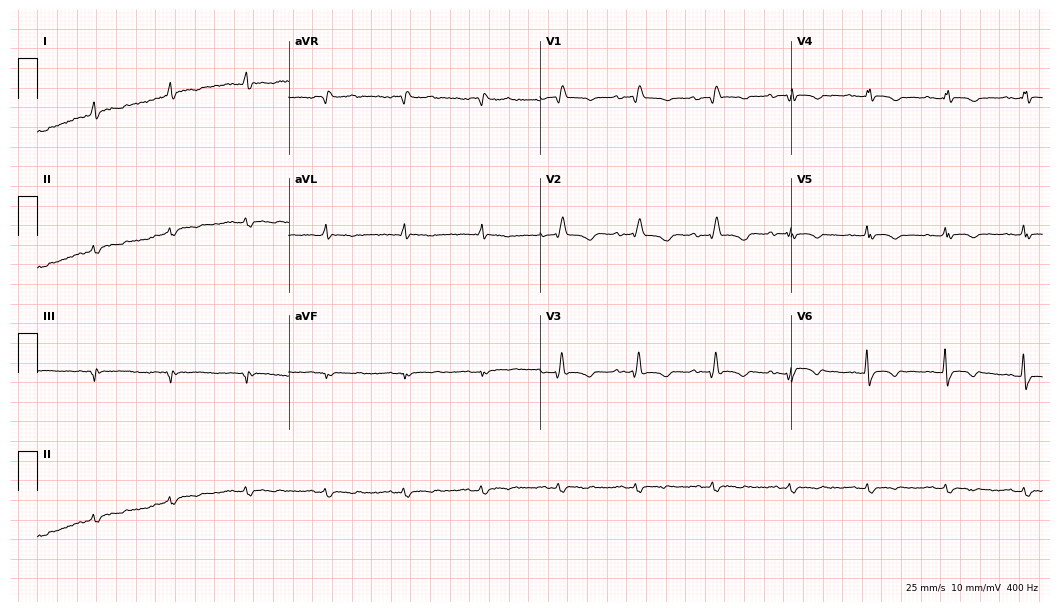
Standard 12-lead ECG recorded from a 40-year-old woman (10.2-second recording at 400 Hz). The tracing shows right bundle branch block (RBBB).